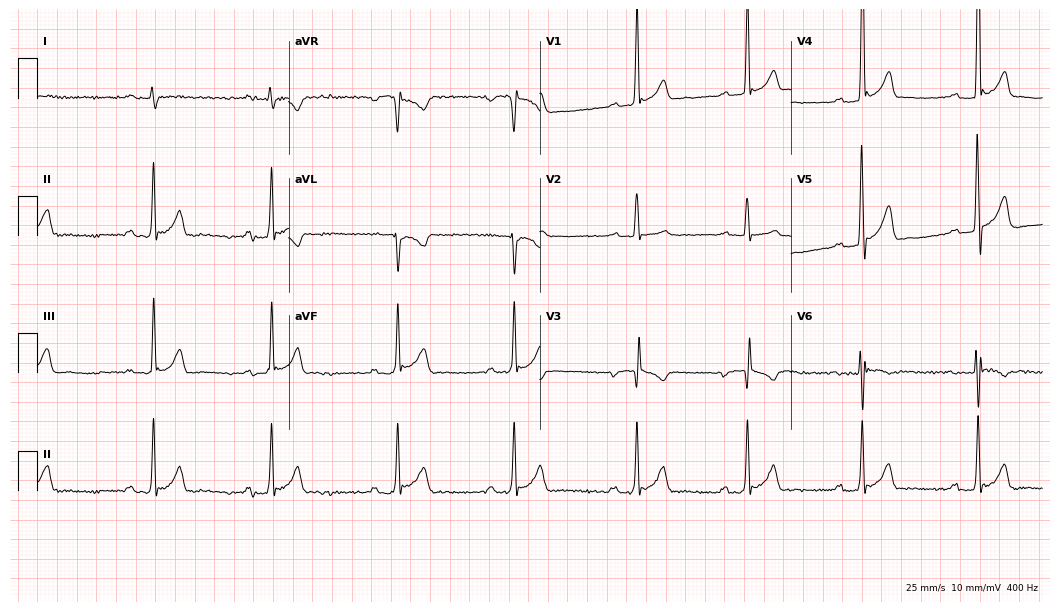
12-lead ECG from a man, 31 years old. Screened for six findings — first-degree AV block, right bundle branch block, left bundle branch block, sinus bradycardia, atrial fibrillation, sinus tachycardia — none is recorded.